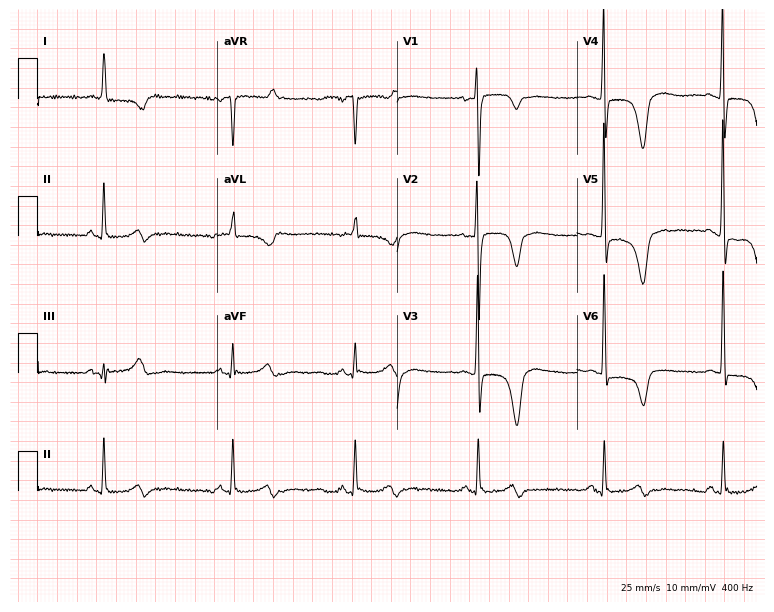
12-lead ECG from a 78-year-old woman. Shows sinus bradycardia (a sinus rate of 50 beats per minute or less).